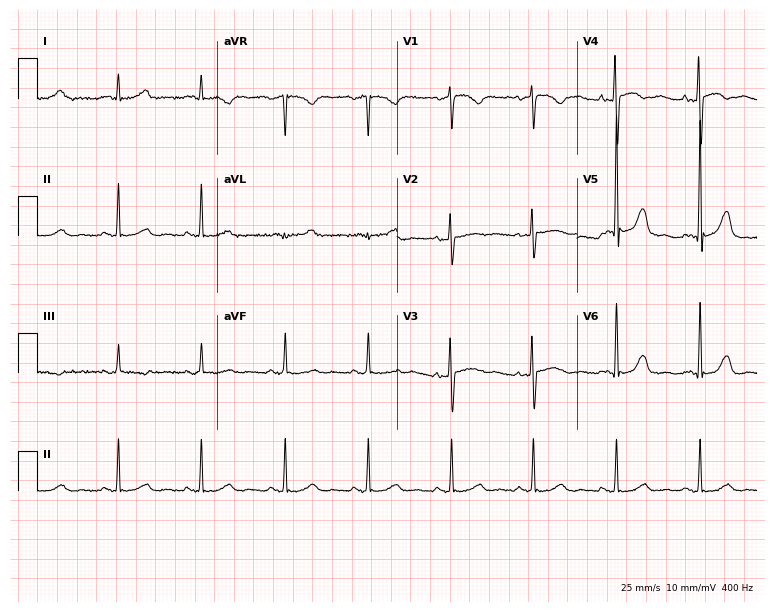
12-lead ECG from a female patient, 43 years old. Labelled as a normal ECG.